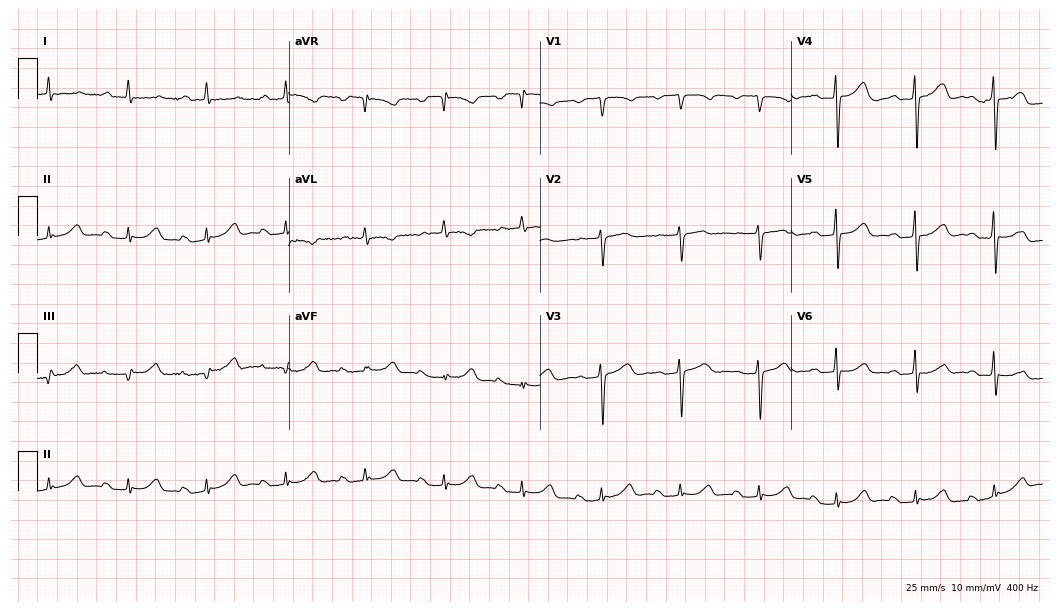
Electrocardiogram (10.2-second recording at 400 Hz), an 83-year-old woman. Interpretation includes first-degree AV block.